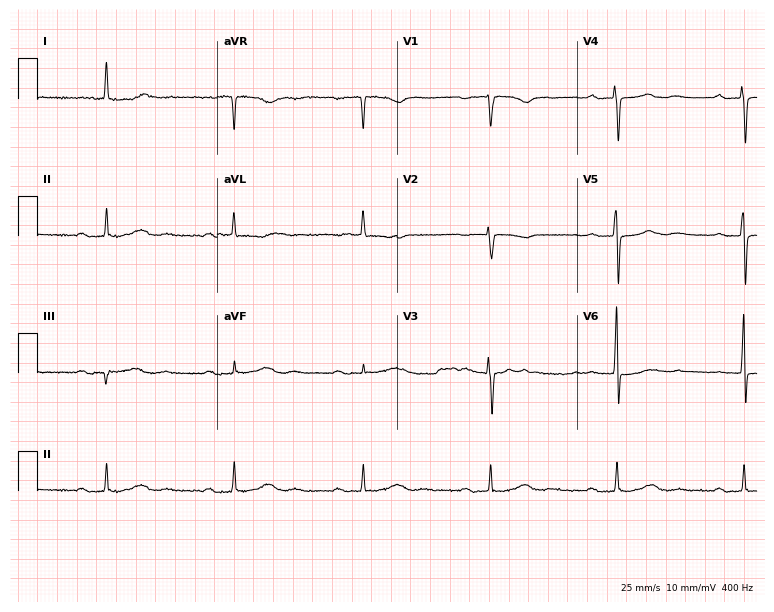
12-lead ECG from a 72-year-old woman. Shows first-degree AV block, sinus bradycardia (a sinus rate of 50 beats per minute or less).